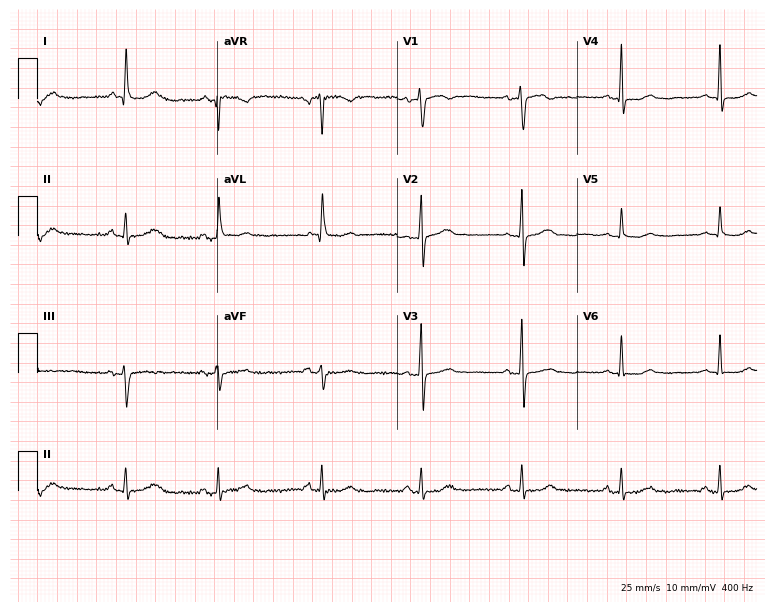
12-lead ECG from a female patient, 67 years old. No first-degree AV block, right bundle branch block, left bundle branch block, sinus bradycardia, atrial fibrillation or sinus tachycardia recorded for this tracing.